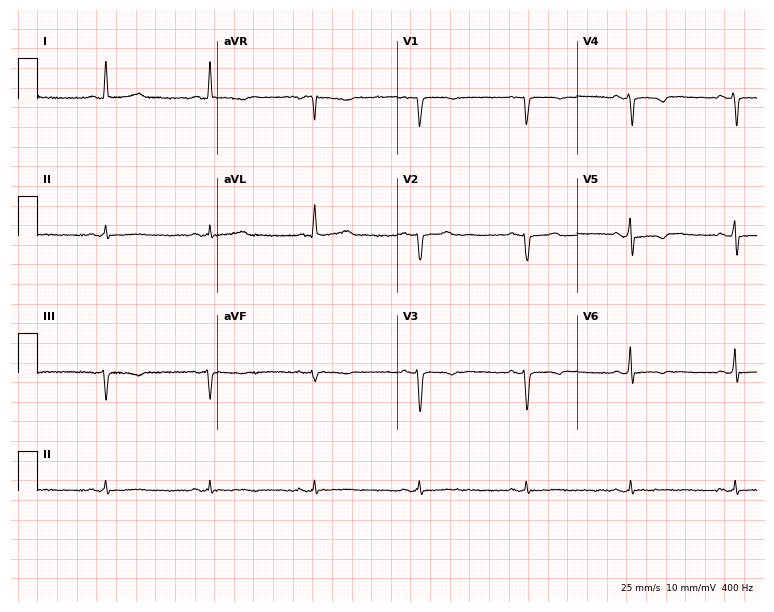
Resting 12-lead electrocardiogram. Patient: a 79-year-old woman. None of these six findings is recorded: first-degree AV block, right bundle branch block, left bundle branch block, sinus bradycardia, atrial fibrillation, sinus tachycardia. Only these six findings were labelled.